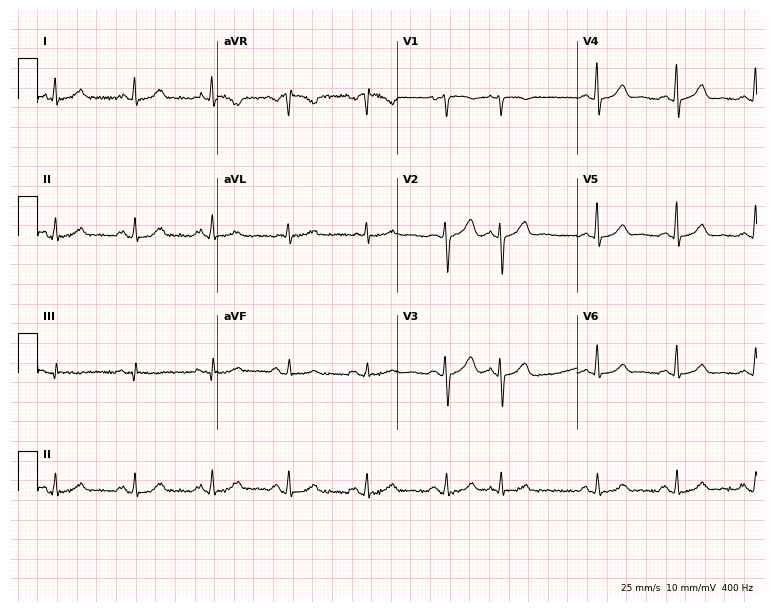
Resting 12-lead electrocardiogram. Patient: a 53-year-old female. None of these six findings is recorded: first-degree AV block, right bundle branch block (RBBB), left bundle branch block (LBBB), sinus bradycardia, atrial fibrillation (AF), sinus tachycardia. Only these six findings were labelled.